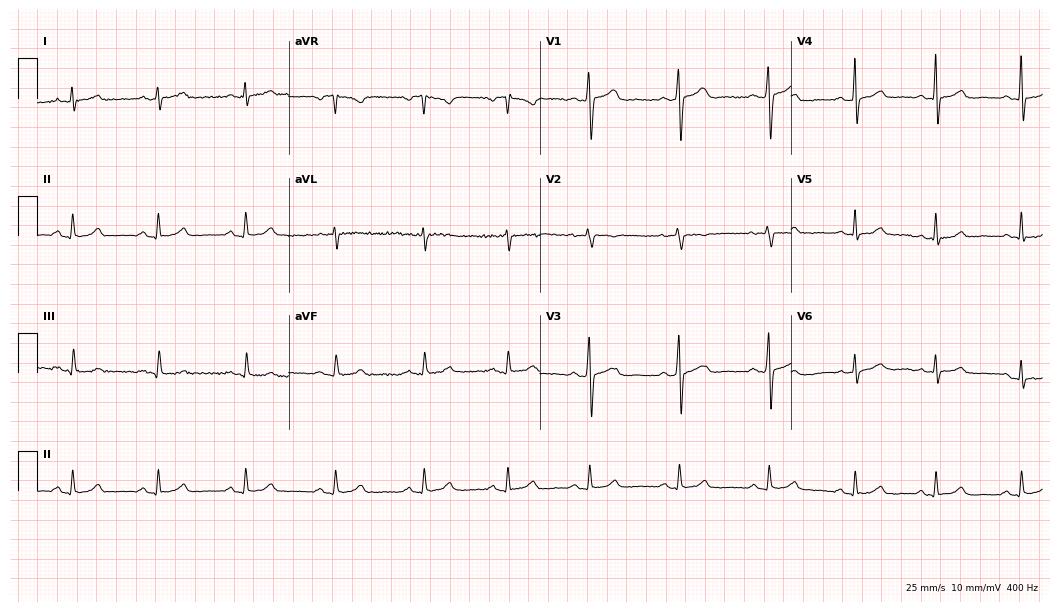
12-lead ECG from a female patient, 42 years old. Labelled as a normal ECG.